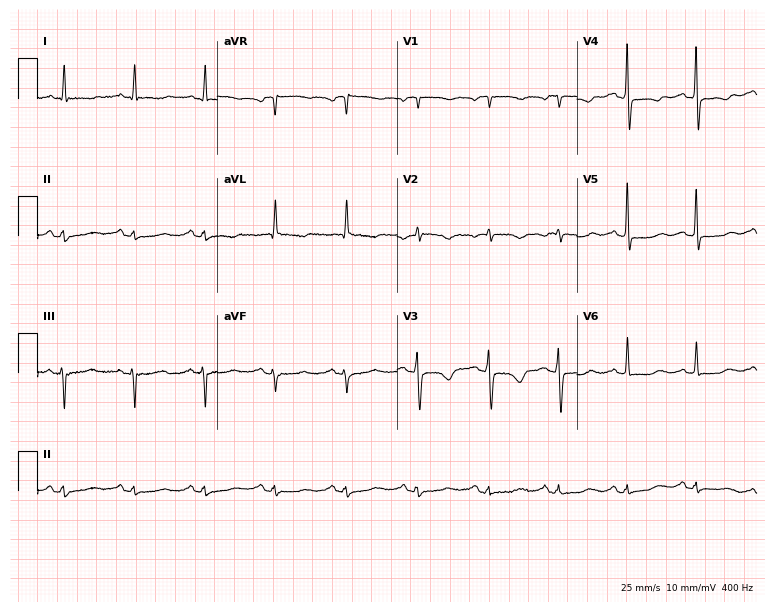
12-lead ECG from a female, 62 years old (7.3-second recording at 400 Hz). No first-degree AV block, right bundle branch block, left bundle branch block, sinus bradycardia, atrial fibrillation or sinus tachycardia recorded for this tracing. Other findings, if any, are not listed.